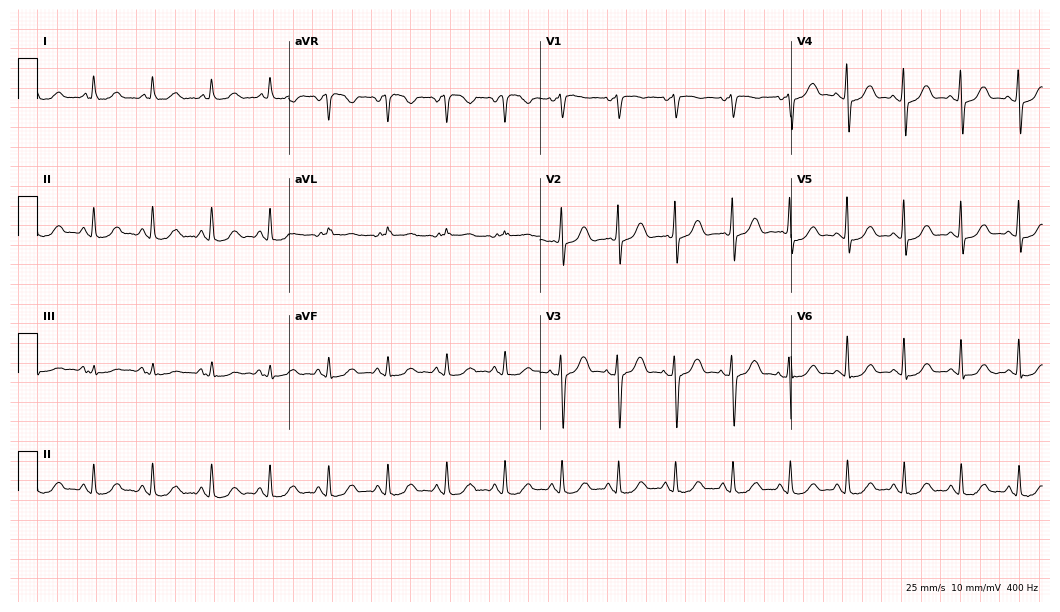
12-lead ECG from a female, 63 years old (10.2-second recording at 400 Hz). Recorded interpretation: within normal limits.